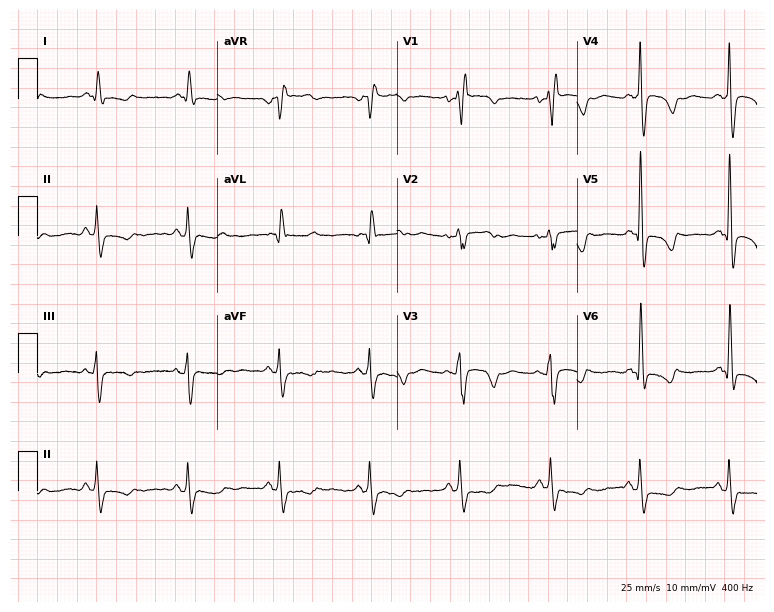
Resting 12-lead electrocardiogram (7.3-second recording at 400 Hz). Patient: a 58-year-old woman. The tracing shows right bundle branch block.